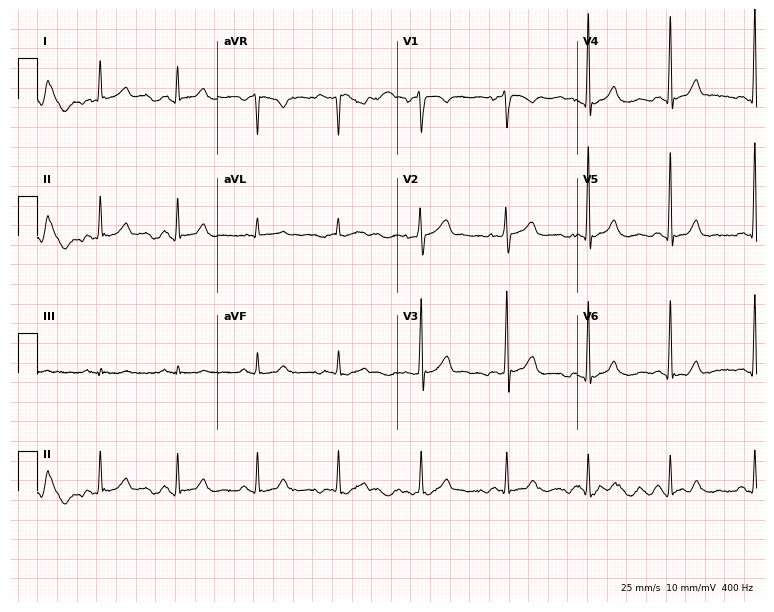
Standard 12-lead ECG recorded from a man, 47 years old. Read as a normal ECG.